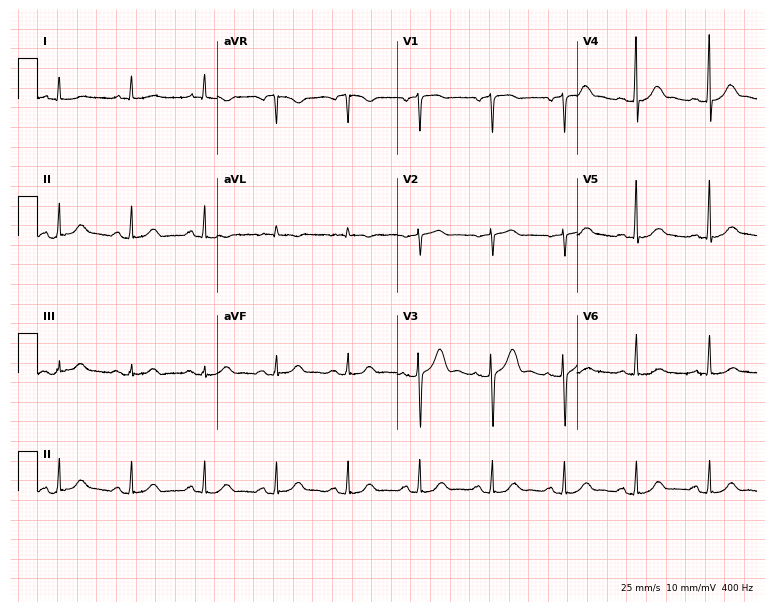
Electrocardiogram, an 82-year-old male. Overall reading on record: normal ECG.